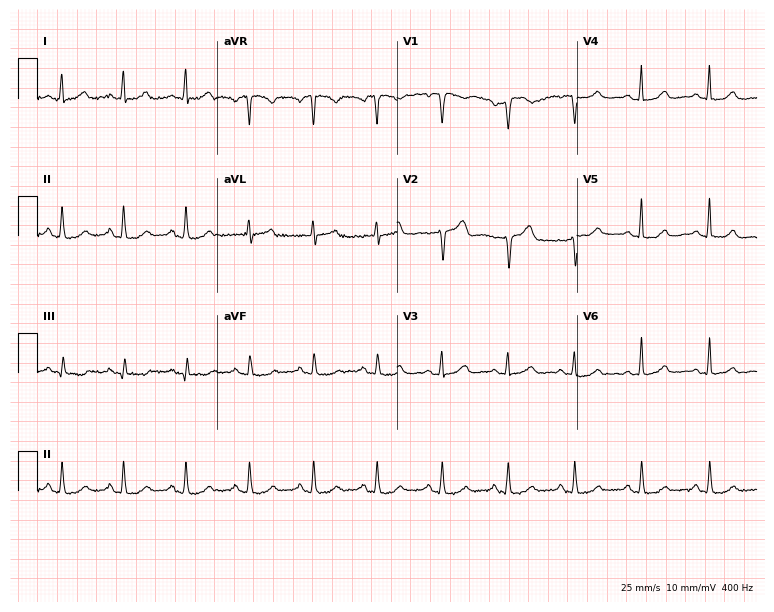
12-lead ECG from a female, 48 years old. Labelled as a normal ECG.